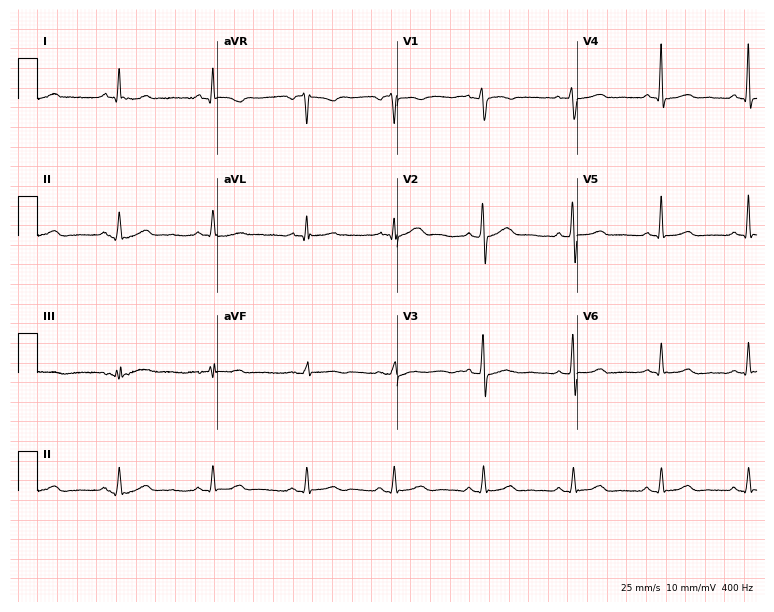
Resting 12-lead electrocardiogram. Patient: a female, 42 years old. None of these six findings is recorded: first-degree AV block, right bundle branch block, left bundle branch block, sinus bradycardia, atrial fibrillation, sinus tachycardia. Findings outside these six are not listed.